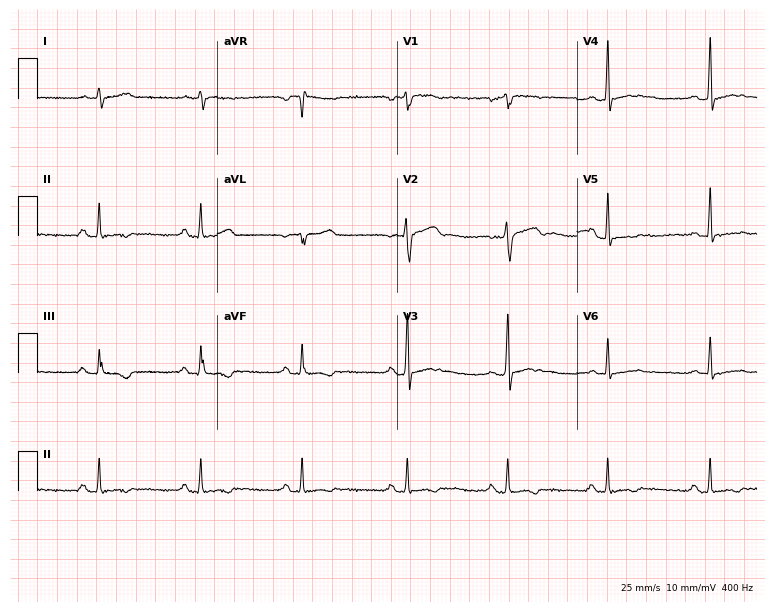
Standard 12-lead ECG recorded from a 36-year-old male. None of these six findings is recorded: first-degree AV block, right bundle branch block, left bundle branch block, sinus bradycardia, atrial fibrillation, sinus tachycardia. Other findings, if any, are not listed.